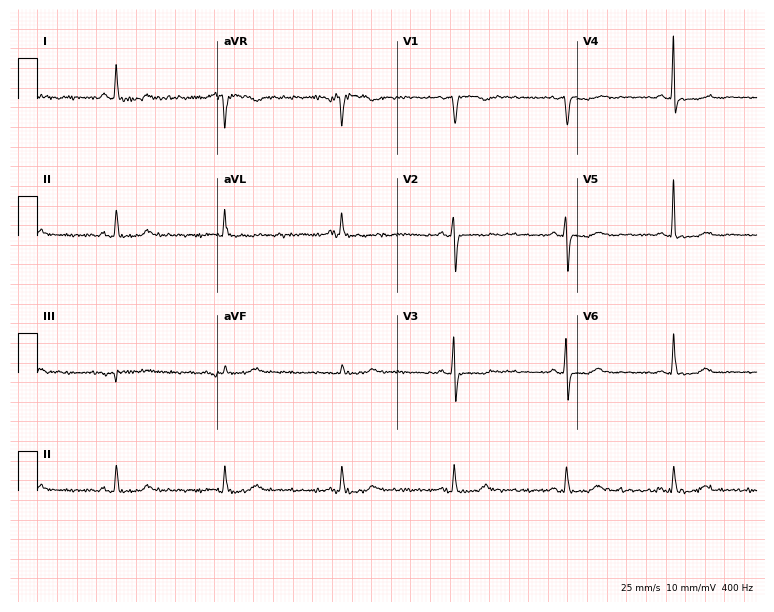
Standard 12-lead ECG recorded from a female patient, 66 years old (7.3-second recording at 400 Hz). None of these six findings is recorded: first-degree AV block, right bundle branch block (RBBB), left bundle branch block (LBBB), sinus bradycardia, atrial fibrillation (AF), sinus tachycardia.